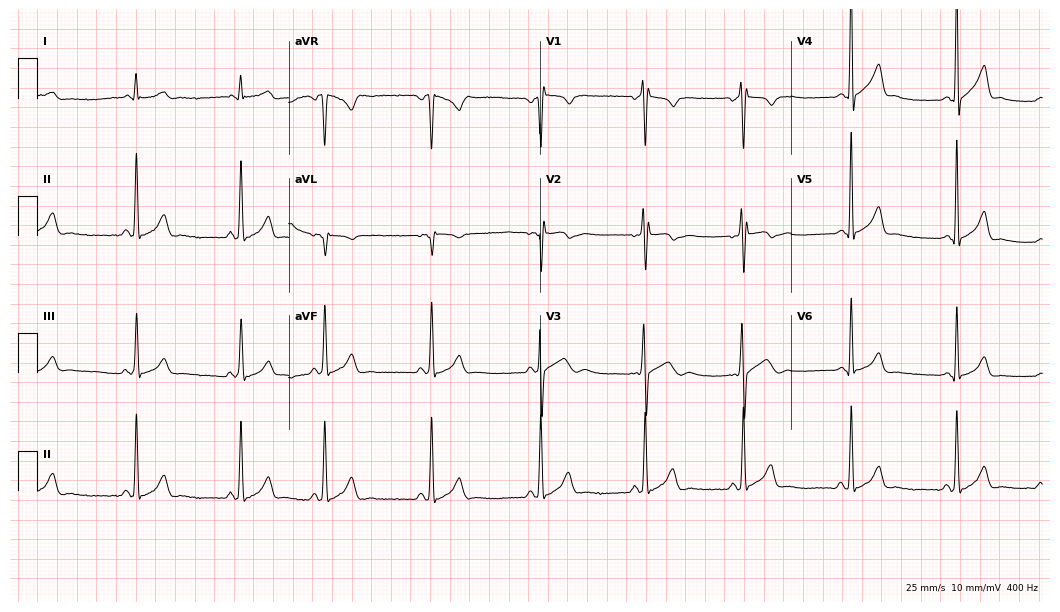
ECG (10.2-second recording at 400 Hz) — a male, 17 years old. Labelled as a normal ECG.